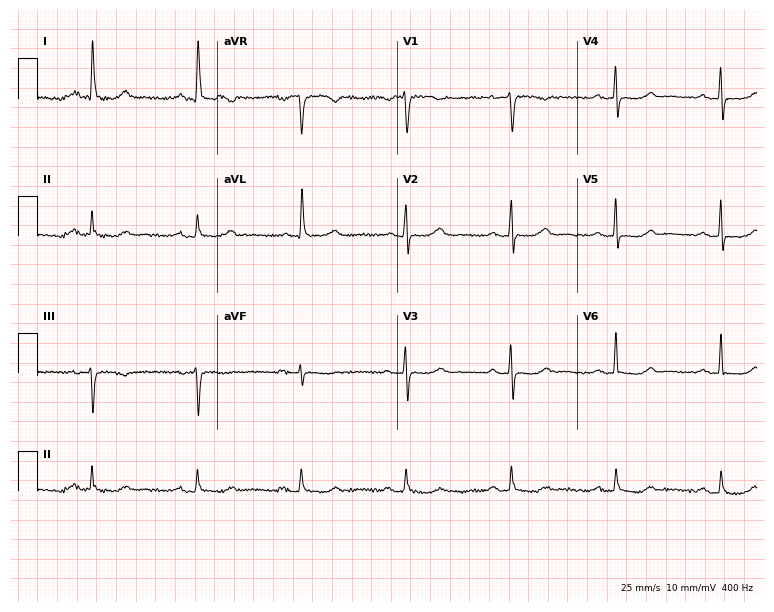
Electrocardiogram (7.3-second recording at 400 Hz), a 71-year-old woman. Of the six screened findings (first-degree AV block, right bundle branch block (RBBB), left bundle branch block (LBBB), sinus bradycardia, atrial fibrillation (AF), sinus tachycardia), none is recorded. Only these six findings were labelled.